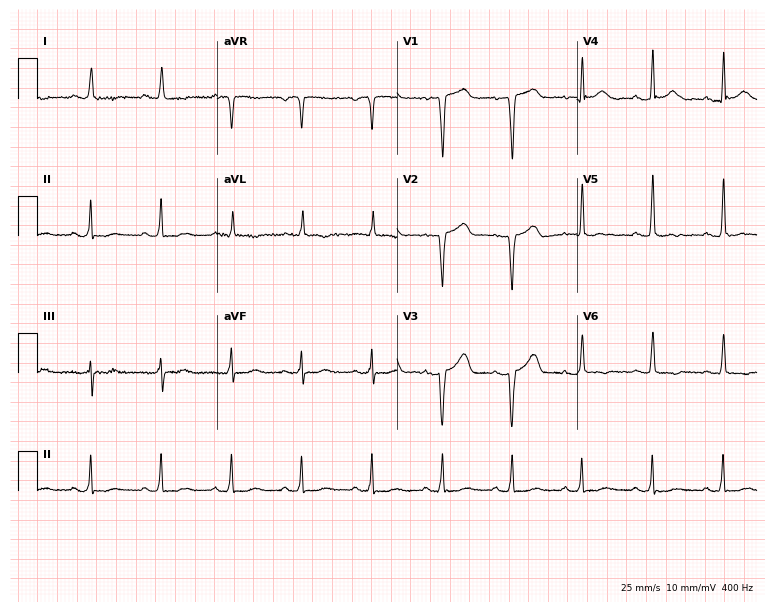
12-lead ECG from a female, 83 years old. Recorded interpretation: within normal limits.